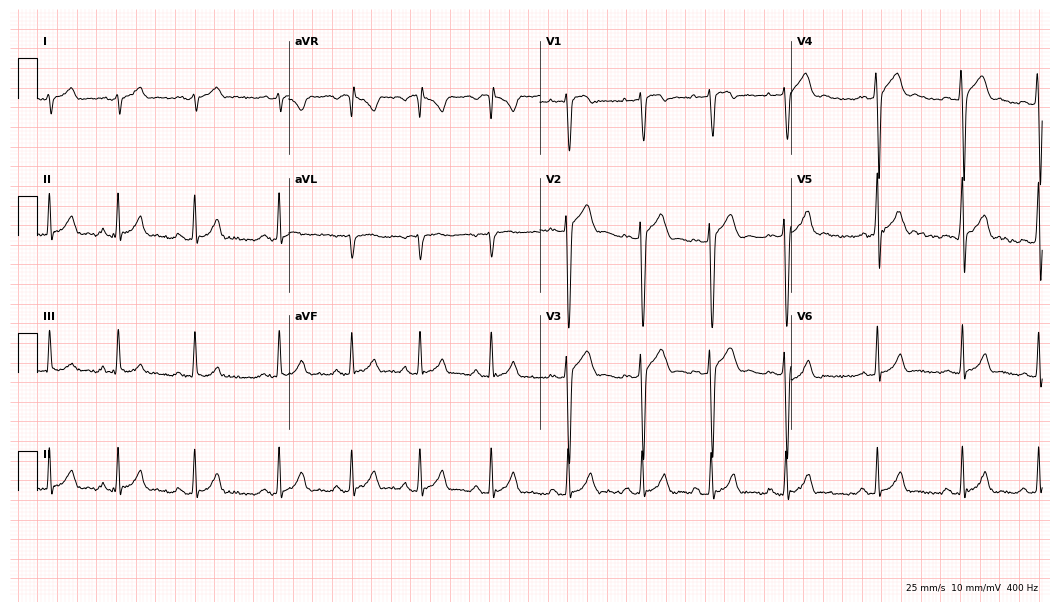
Electrocardiogram, a 17-year-old male patient. Of the six screened findings (first-degree AV block, right bundle branch block (RBBB), left bundle branch block (LBBB), sinus bradycardia, atrial fibrillation (AF), sinus tachycardia), none is recorded.